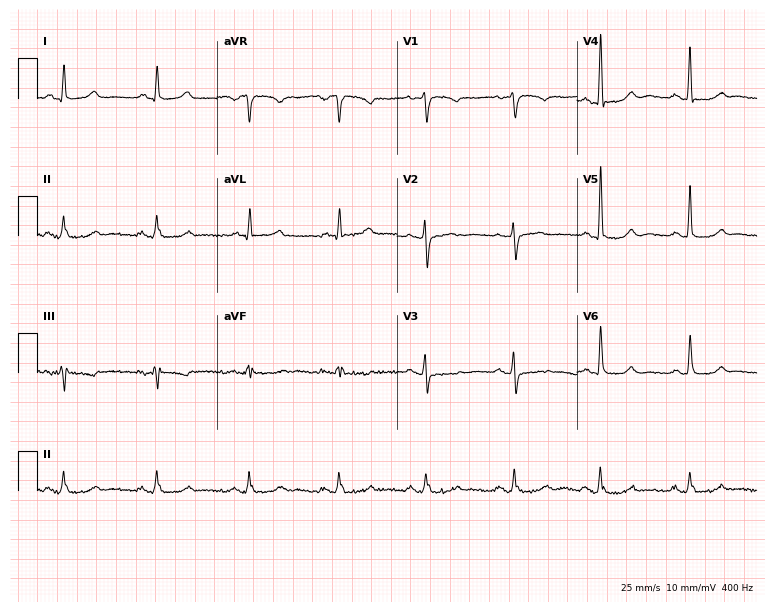
12-lead ECG from a 63-year-old woman (7.3-second recording at 400 Hz). No first-degree AV block, right bundle branch block (RBBB), left bundle branch block (LBBB), sinus bradycardia, atrial fibrillation (AF) or sinus tachycardia recorded for this tracing.